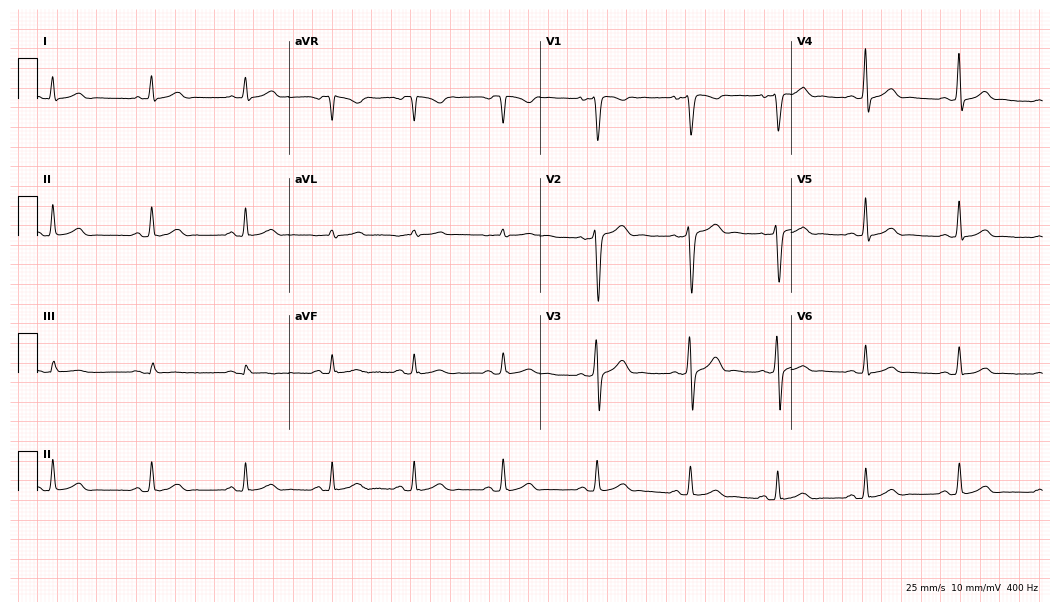
Resting 12-lead electrocardiogram. Patient: a male, 31 years old. Read as a normal ECG.